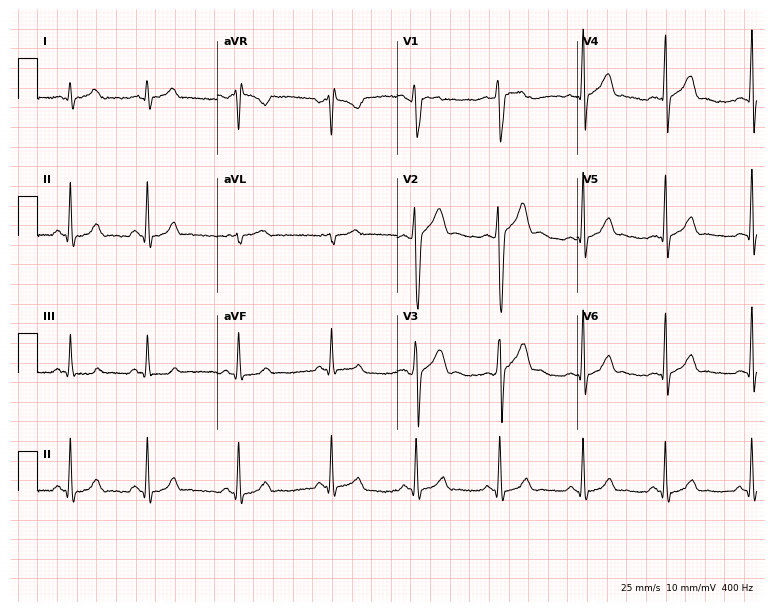
ECG (7.3-second recording at 400 Hz) — a male, 20 years old. Labelled as a normal ECG.